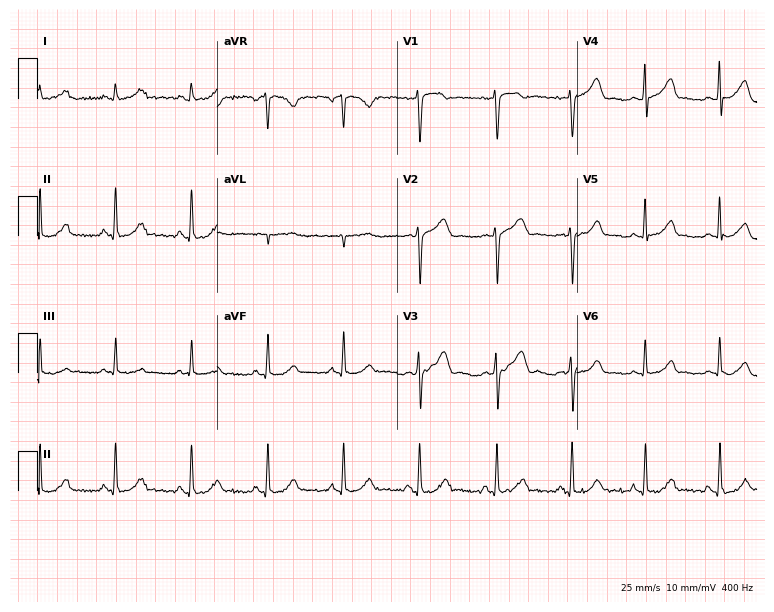
Resting 12-lead electrocardiogram. Patient: a 32-year-old female. None of these six findings is recorded: first-degree AV block, right bundle branch block, left bundle branch block, sinus bradycardia, atrial fibrillation, sinus tachycardia.